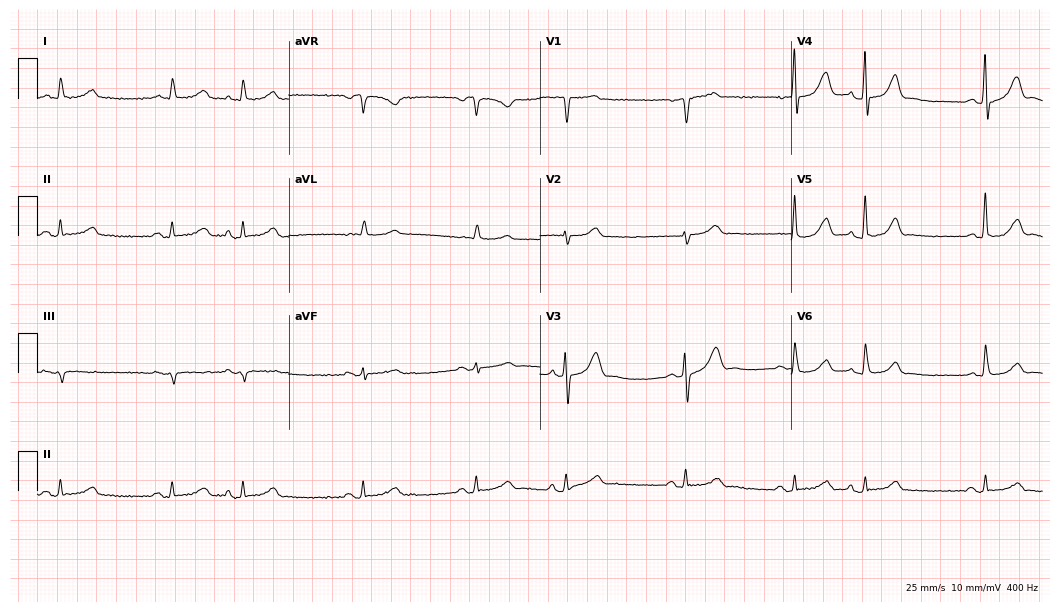
12-lead ECG (10.2-second recording at 400 Hz) from a 73-year-old male patient. Screened for six findings — first-degree AV block, right bundle branch block (RBBB), left bundle branch block (LBBB), sinus bradycardia, atrial fibrillation (AF), sinus tachycardia — none is recorded.